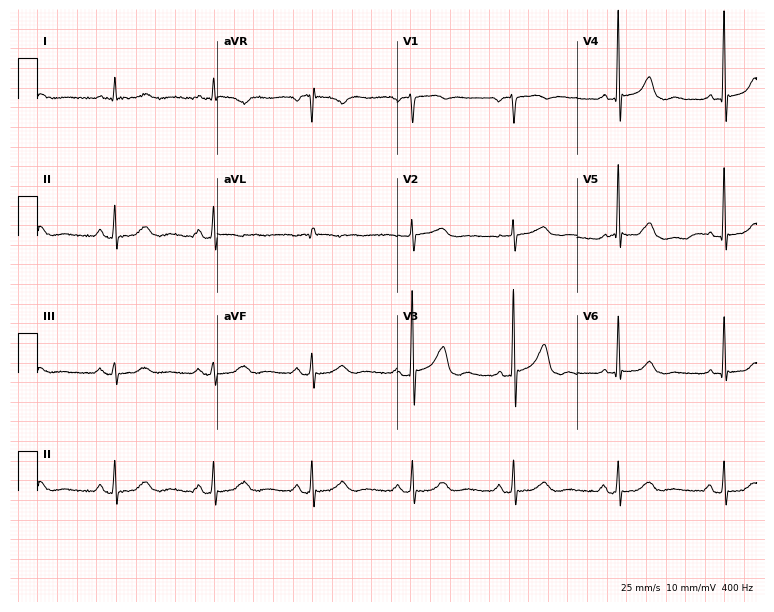
Resting 12-lead electrocardiogram (7.3-second recording at 400 Hz). Patient: a 75-year-old male. None of these six findings is recorded: first-degree AV block, right bundle branch block, left bundle branch block, sinus bradycardia, atrial fibrillation, sinus tachycardia.